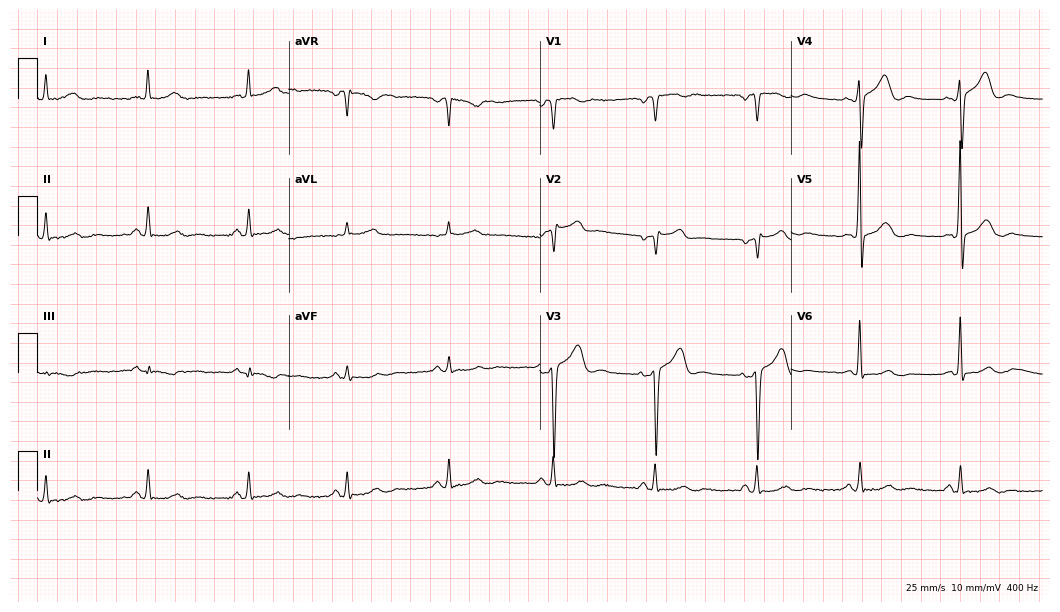
Electrocardiogram, a male, 57 years old. Of the six screened findings (first-degree AV block, right bundle branch block, left bundle branch block, sinus bradycardia, atrial fibrillation, sinus tachycardia), none is recorded. Only these six findings were labelled.